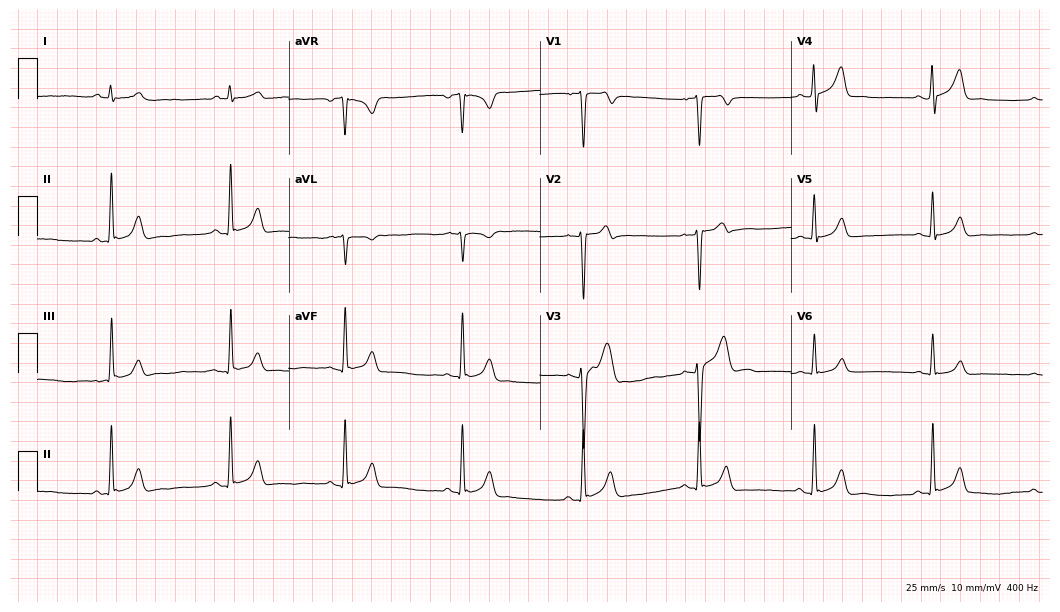
ECG (10.2-second recording at 400 Hz) — a male patient, 27 years old. Findings include sinus bradycardia (a sinus rate of 50 beats per minute or less).